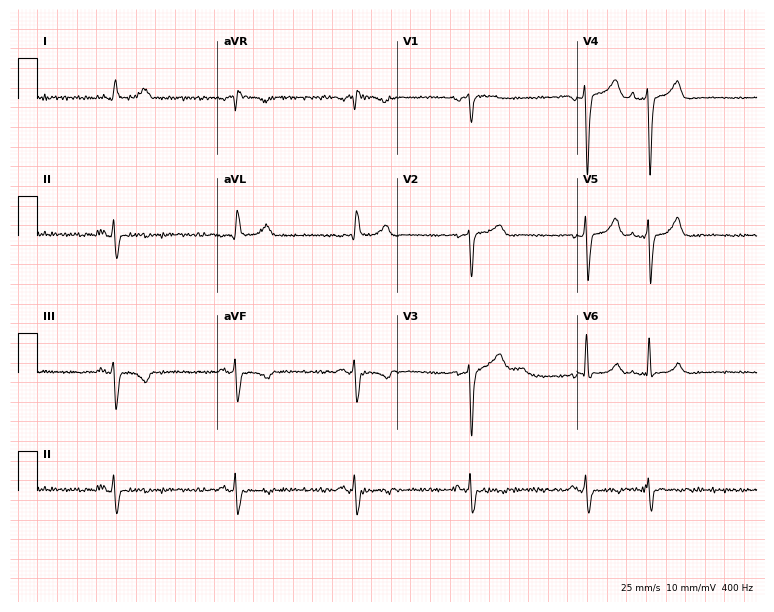
Standard 12-lead ECG recorded from a male, 83 years old (7.3-second recording at 400 Hz). None of these six findings is recorded: first-degree AV block, right bundle branch block, left bundle branch block, sinus bradycardia, atrial fibrillation, sinus tachycardia.